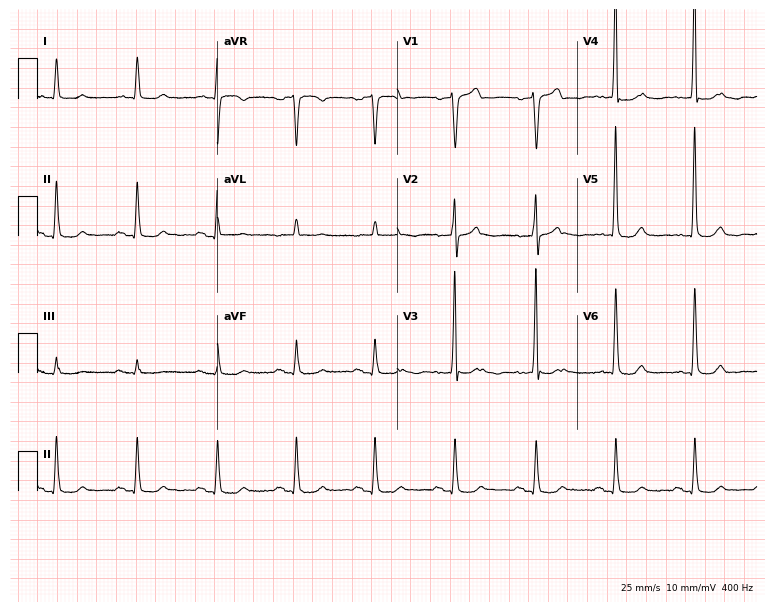
ECG (7.3-second recording at 400 Hz) — a male patient, 82 years old. Screened for six findings — first-degree AV block, right bundle branch block (RBBB), left bundle branch block (LBBB), sinus bradycardia, atrial fibrillation (AF), sinus tachycardia — none is recorded. Findings outside these six are not listed.